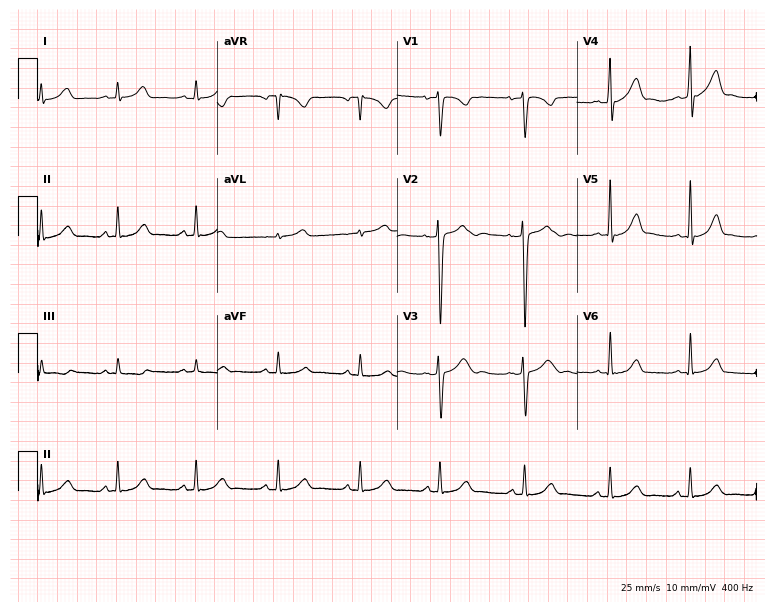
Resting 12-lead electrocardiogram (7.3-second recording at 400 Hz). Patient: a 19-year-old woman. None of these six findings is recorded: first-degree AV block, right bundle branch block, left bundle branch block, sinus bradycardia, atrial fibrillation, sinus tachycardia.